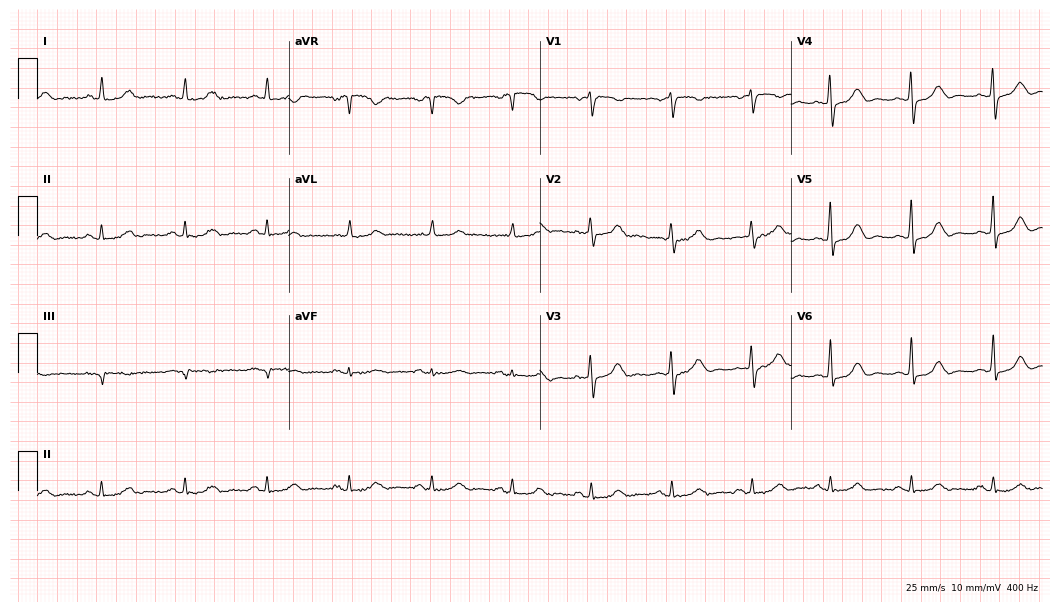
ECG (10.2-second recording at 400 Hz) — a 67-year-old woman. Screened for six findings — first-degree AV block, right bundle branch block, left bundle branch block, sinus bradycardia, atrial fibrillation, sinus tachycardia — none is recorded.